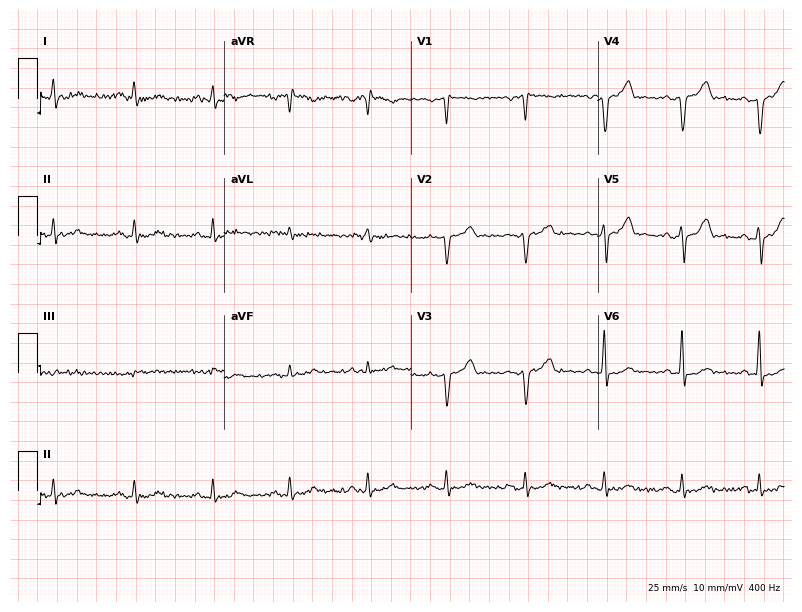
Resting 12-lead electrocardiogram (7.6-second recording at 400 Hz). Patient: a male, 52 years old. None of these six findings is recorded: first-degree AV block, right bundle branch block, left bundle branch block, sinus bradycardia, atrial fibrillation, sinus tachycardia. Only these six findings were labelled.